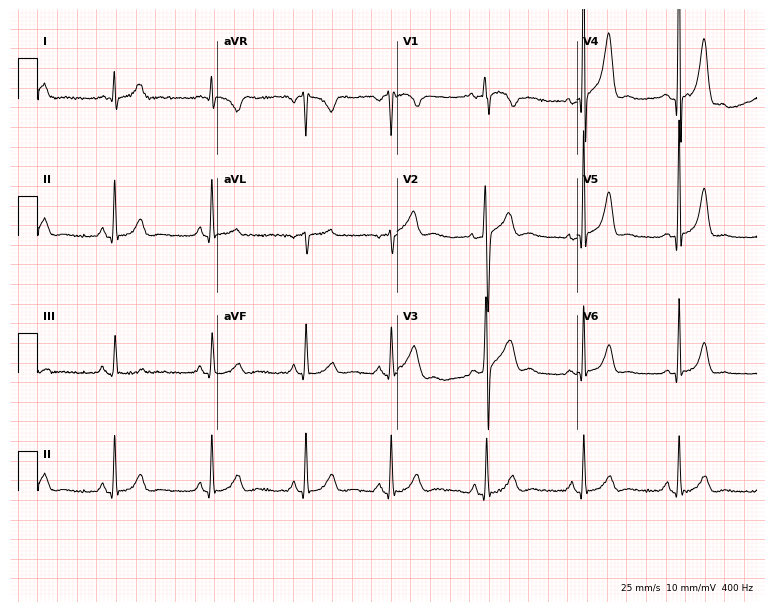
Electrocardiogram, a male patient, 54 years old. Overall reading on record: normal ECG.